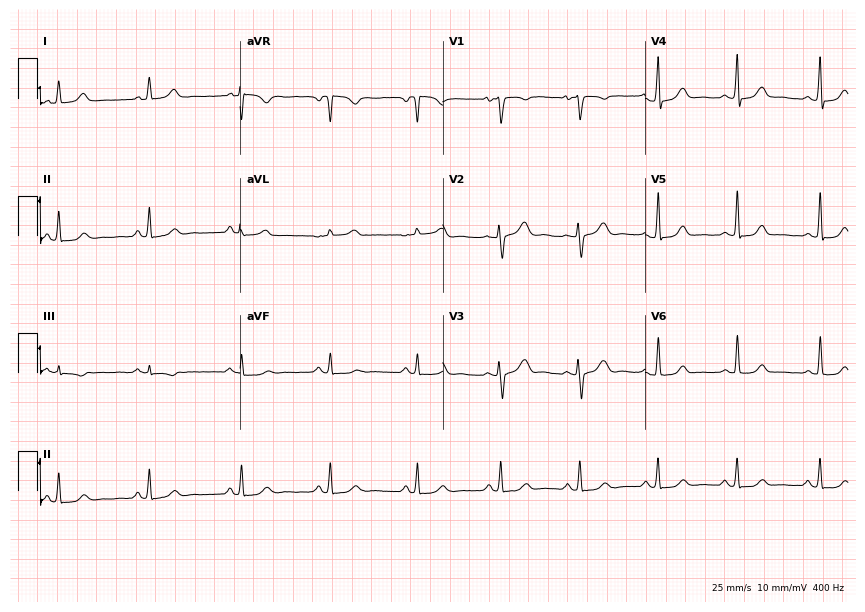
Electrocardiogram (8.3-second recording at 400 Hz), a female patient, 36 years old. Of the six screened findings (first-degree AV block, right bundle branch block, left bundle branch block, sinus bradycardia, atrial fibrillation, sinus tachycardia), none is recorded. Only these six findings were labelled.